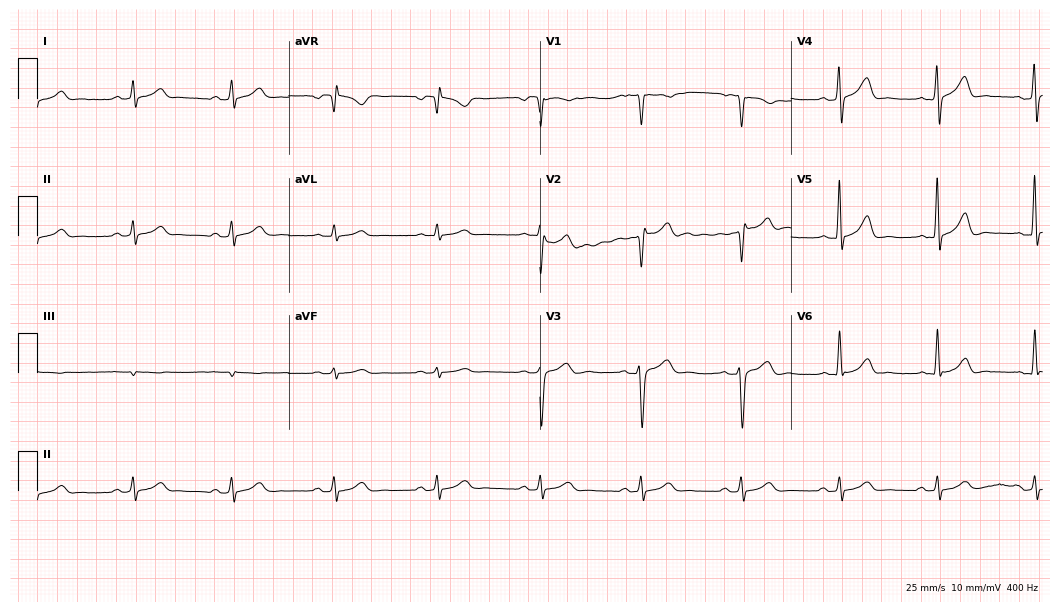
Resting 12-lead electrocardiogram (10.2-second recording at 400 Hz). Patient: a 50-year-old male. None of these six findings is recorded: first-degree AV block, right bundle branch block, left bundle branch block, sinus bradycardia, atrial fibrillation, sinus tachycardia. Findings outside these six are not listed.